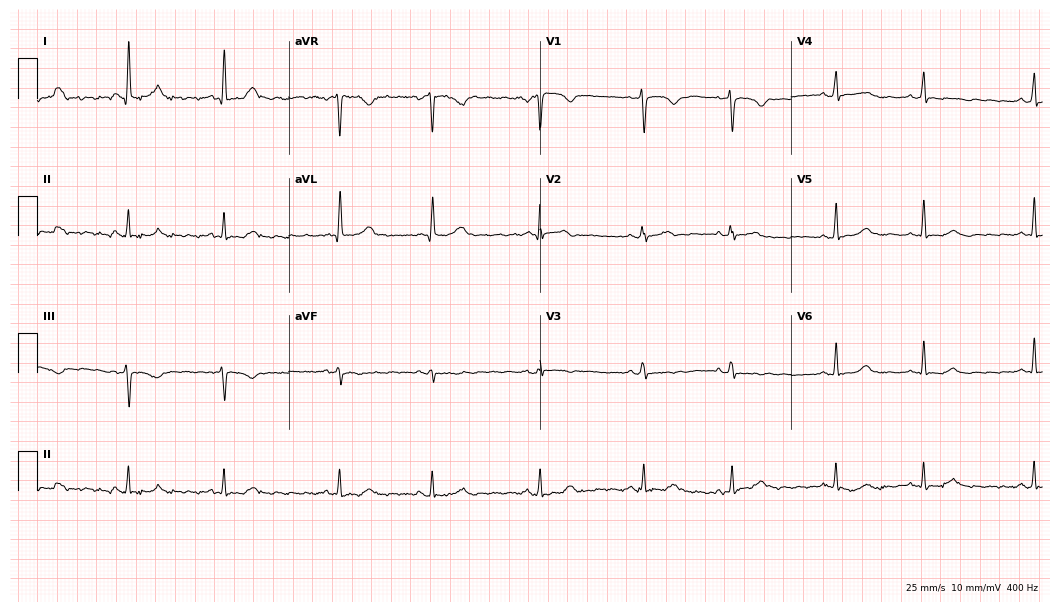
Standard 12-lead ECG recorded from a female patient, 41 years old (10.2-second recording at 400 Hz). None of these six findings is recorded: first-degree AV block, right bundle branch block, left bundle branch block, sinus bradycardia, atrial fibrillation, sinus tachycardia. Other findings, if any, are not listed.